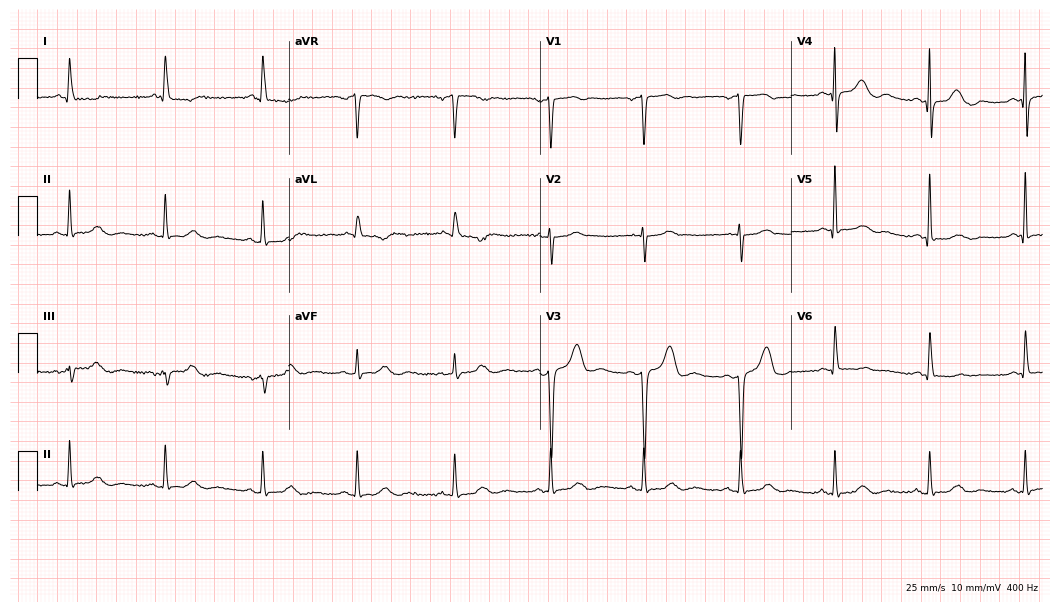
12-lead ECG from a female, 72 years old. Screened for six findings — first-degree AV block, right bundle branch block, left bundle branch block, sinus bradycardia, atrial fibrillation, sinus tachycardia — none is recorded. Only these six findings were labelled.